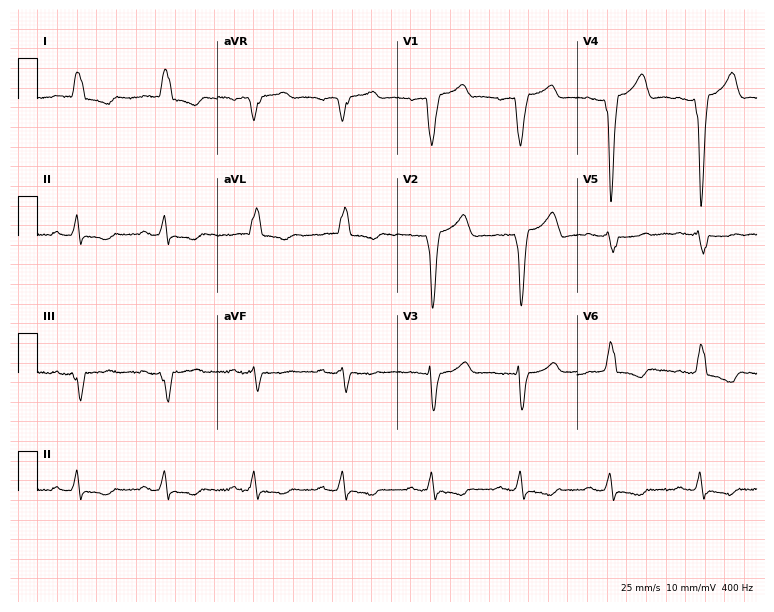
Standard 12-lead ECG recorded from a male, 74 years old (7.3-second recording at 400 Hz). The tracing shows left bundle branch block.